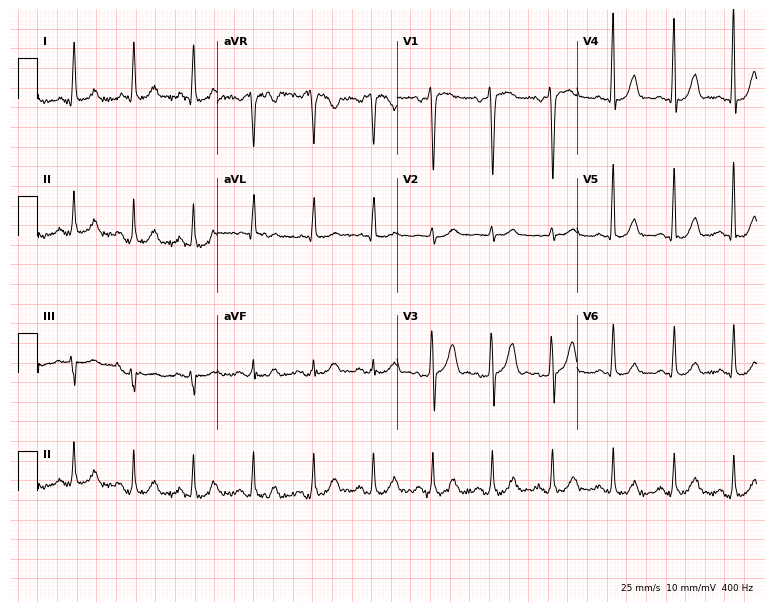
ECG (7.3-second recording at 400 Hz) — a female patient, 53 years old. Labelled as a normal ECG.